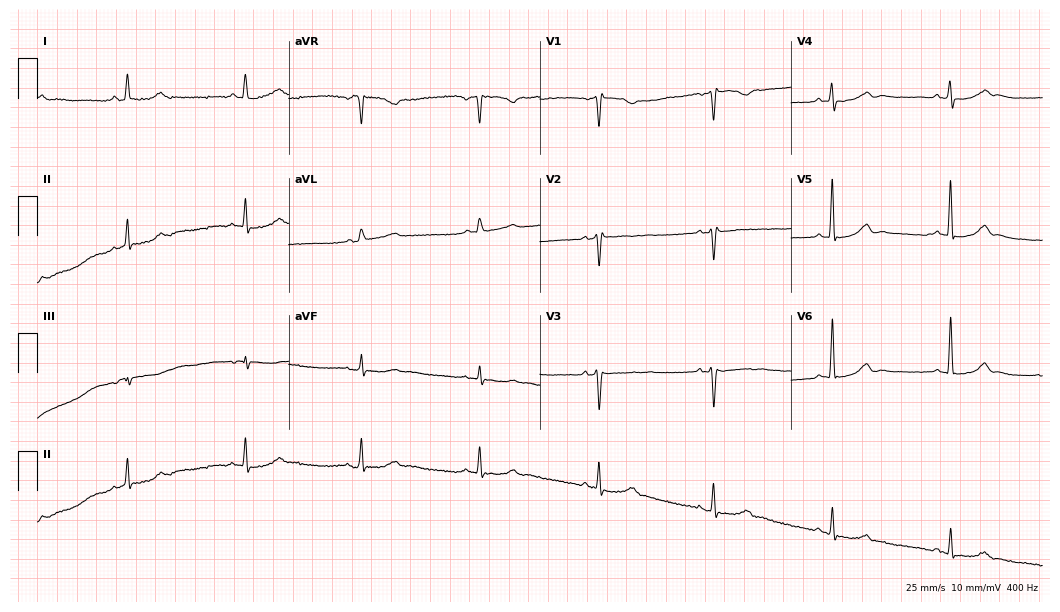
Electrocardiogram, a female patient, 44 years old. Overall reading on record: normal ECG.